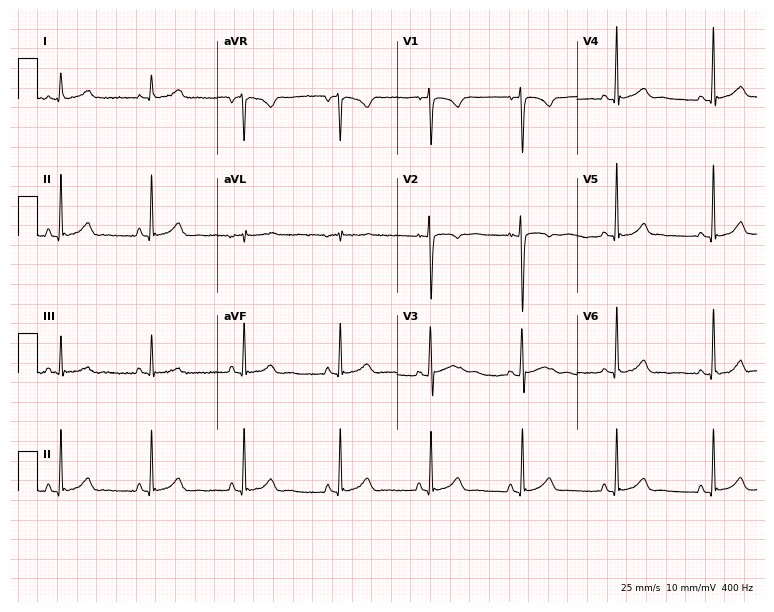
Resting 12-lead electrocardiogram (7.3-second recording at 400 Hz). Patient: an 18-year-old female. Read as a normal ECG.